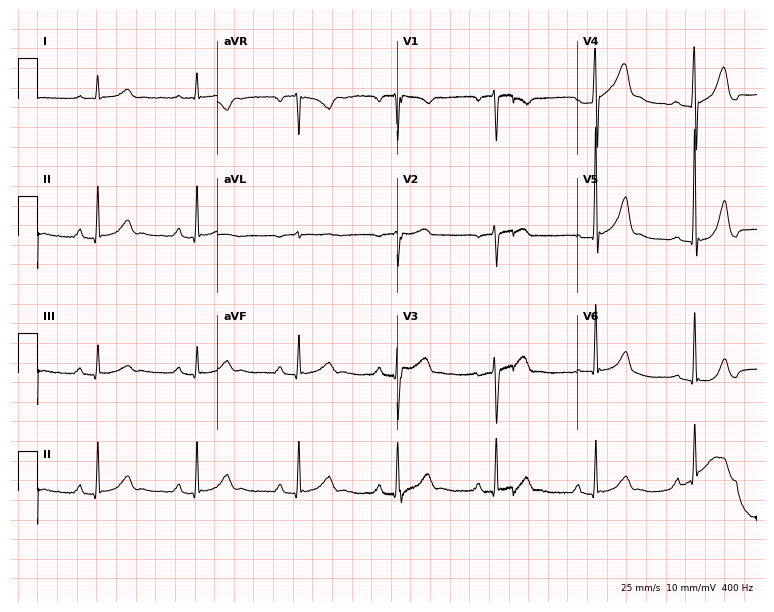
12-lead ECG from a male patient, 61 years old (7.3-second recording at 400 Hz). Recorded interpretation: within normal limits.